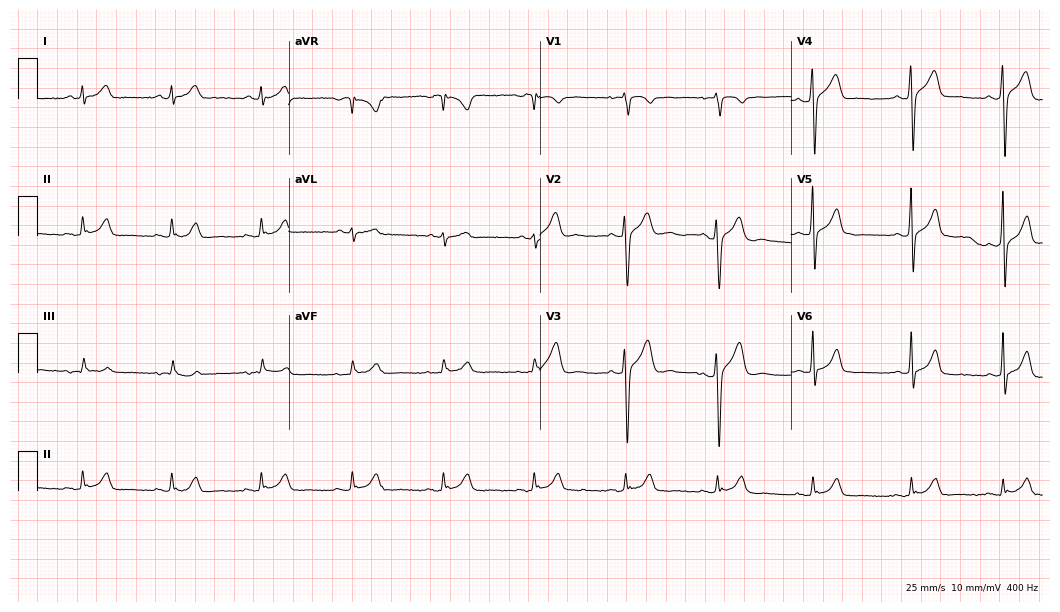
12-lead ECG (10.2-second recording at 400 Hz) from a 33-year-old male patient. Labelled as a normal ECG.